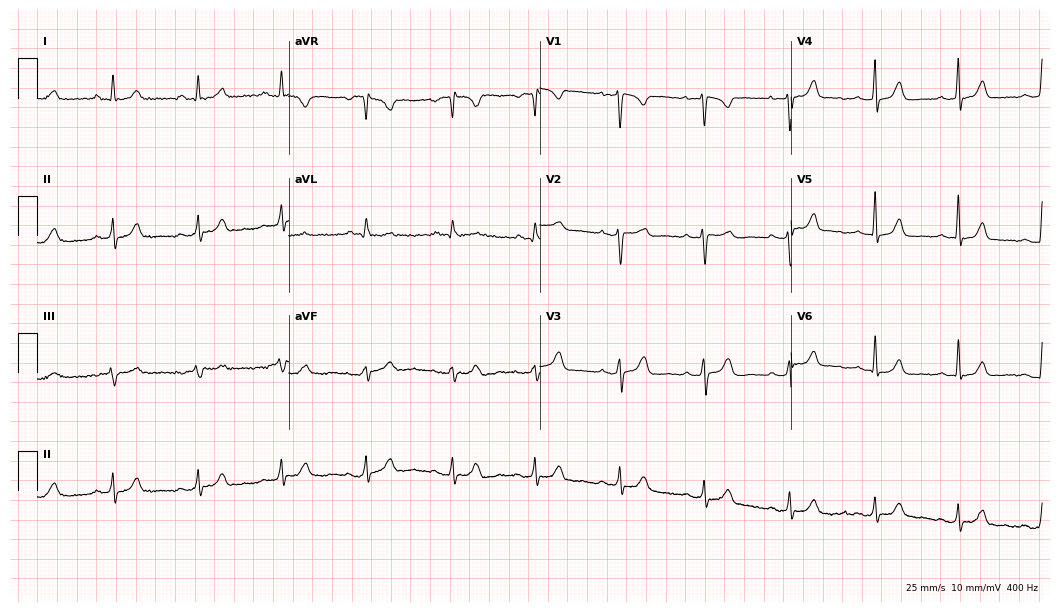
Standard 12-lead ECG recorded from a woman, 43 years old. None of these six findings is recorded: first-degree AV block, right bundle branch block (RBBB), left bundle branch block (LBBB), sinus bradycardia, atrial fibrillation (AF), sinus tachycardia.